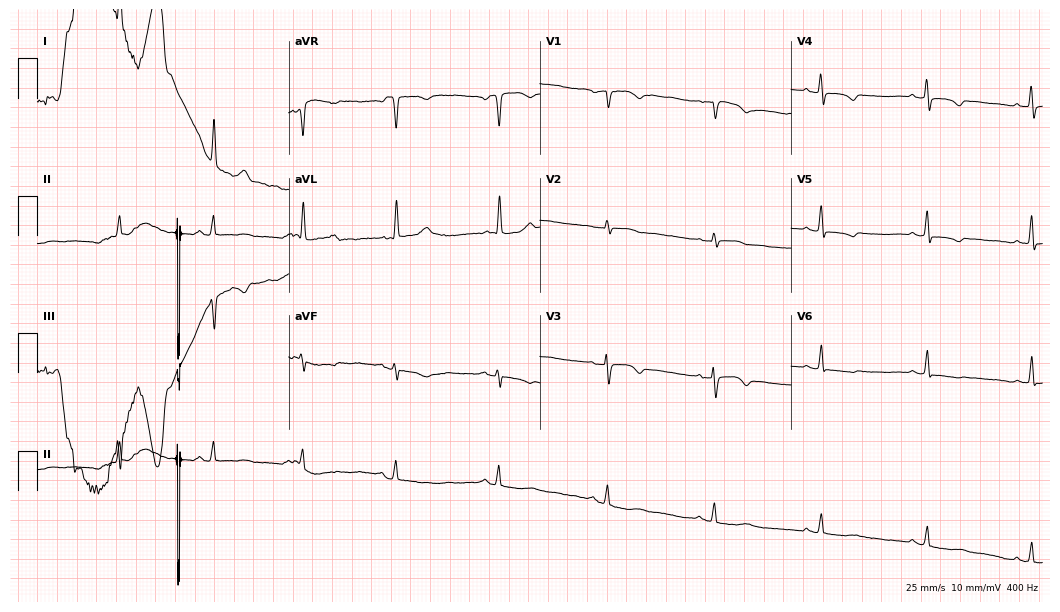
Resting 12-lead electrocardiogram. Patient: a female, 69 years old. None of these six findings is recorded: first-degree AV block, right bundle branch block, left bundle branch block, sinus bradycardia, atrial fibrillation, sinus tachycardia.